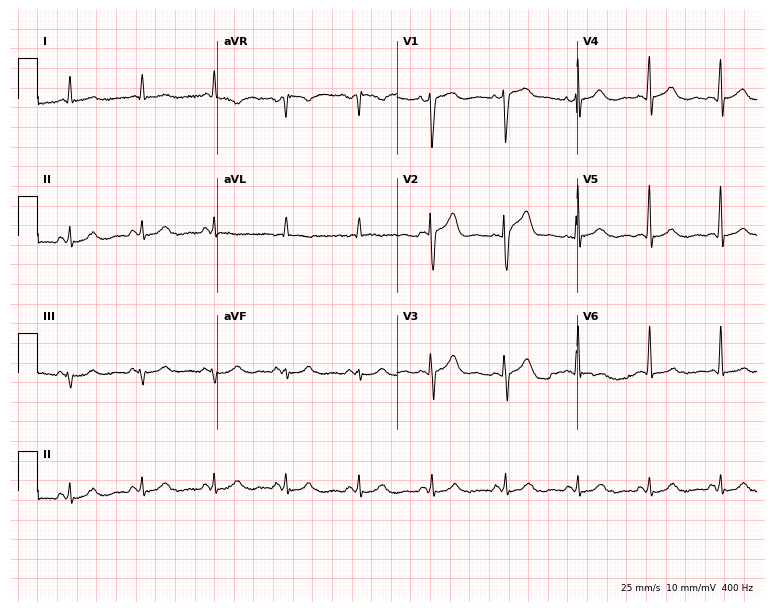
Resting 12-lead electrocardiogram (7.3-second recording at 400 Hz). Patient: a 64-year-old man. Read as a normal ECG.